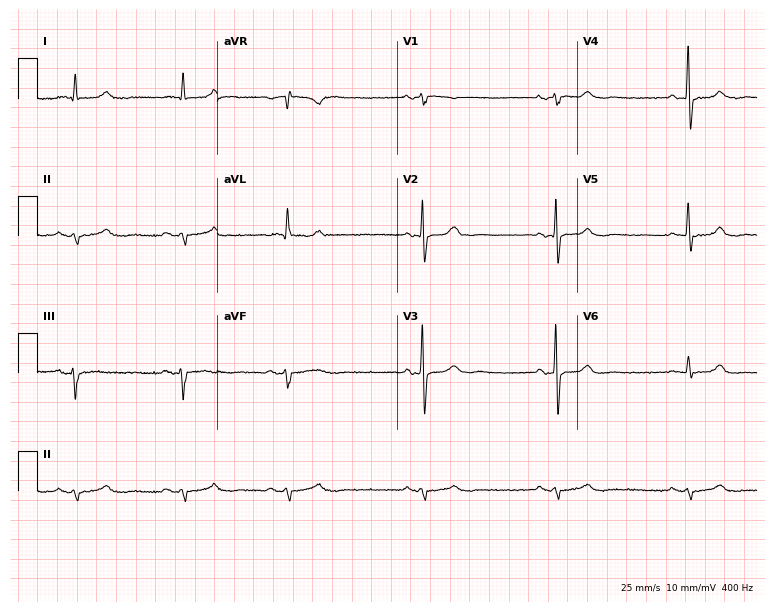
Resting 12-lead electrocardiogram (7.3-second recording at 400 Hz). Patient: a male, 80 years old. The tracing shows sinus bradycardia (a sinus rate of 50 beats per minute or less).